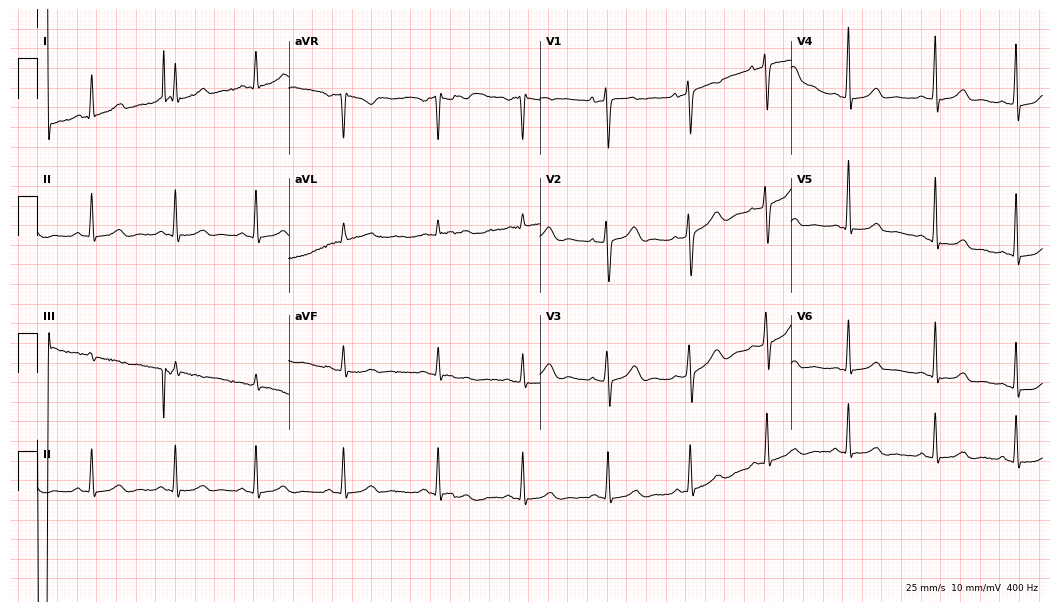
Electrocardiogram (10.2-second recording at 400 Hz), a 32-year-old female. Overall reading on record: normal ECG.